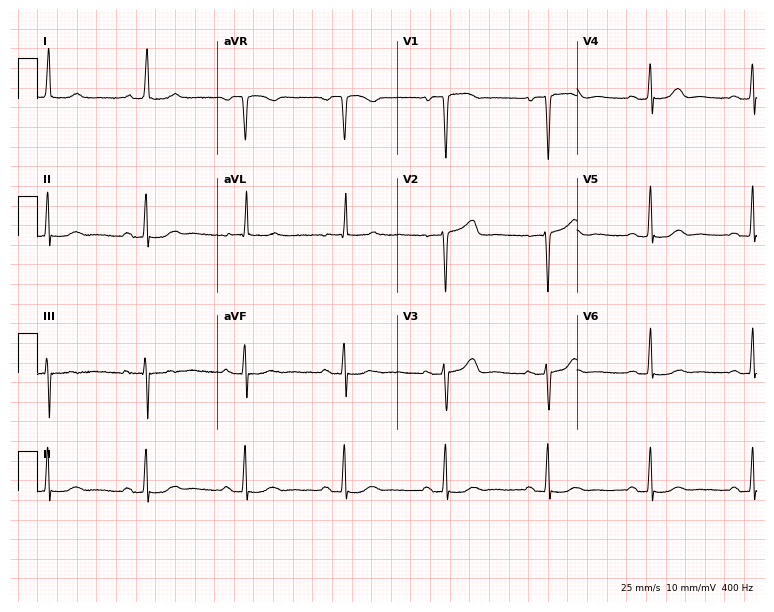
Resting 12-lead electrocardiogram (7.3-second recording at 400 Hz). Patient: an 82-year-old female. Read as a normal ECG.